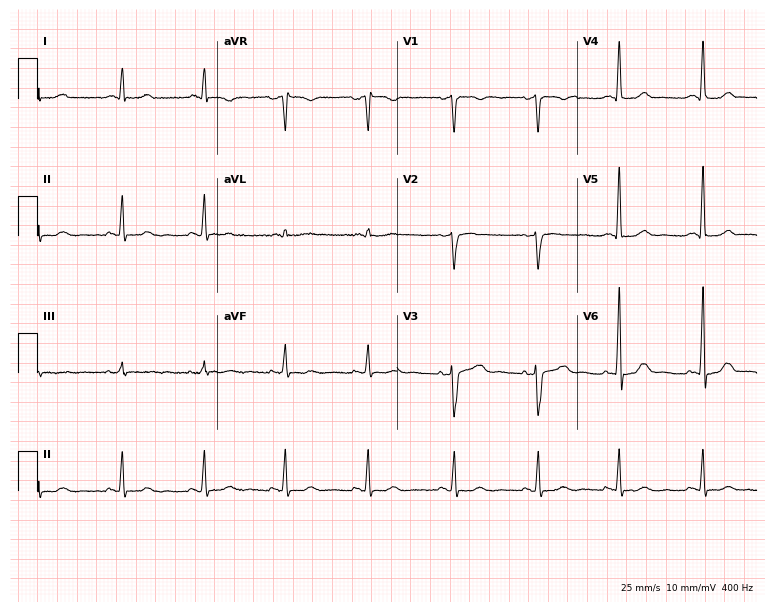
Standard 12-lead ECG recorded from a female patient, 59 years old. None of these six findings is recorded: first-degree AV block, right bundle branch block, left bundle branch block, sinus bradycardia, atrial fibrillation, sinus tachycardia. Only these six findings were labelled.